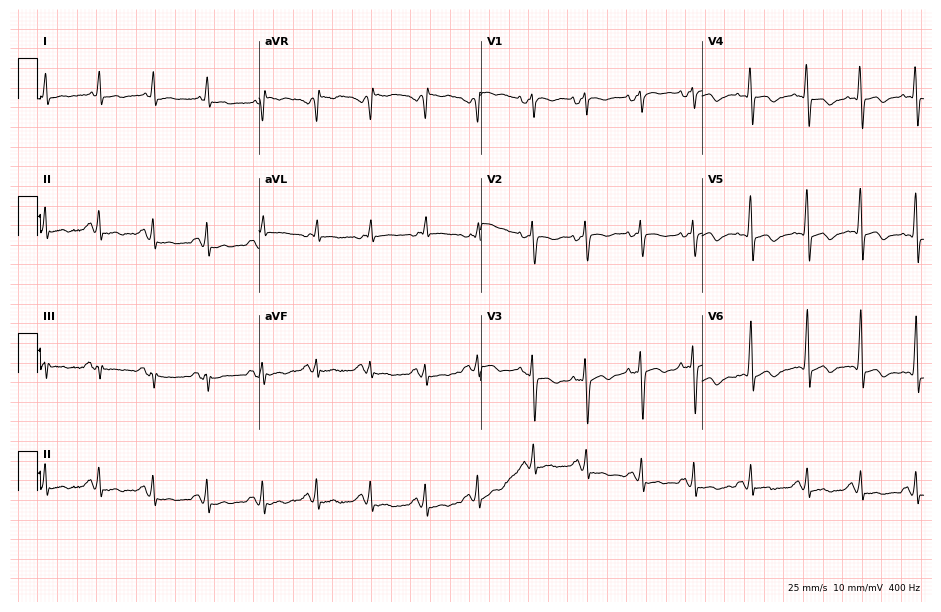
Electrocardiogram (9-second recording at 400 Hz), a female patient, 68 years old. Interpretation includes sinus tachycardia (a sinus rate of 100 beats per minute or more).